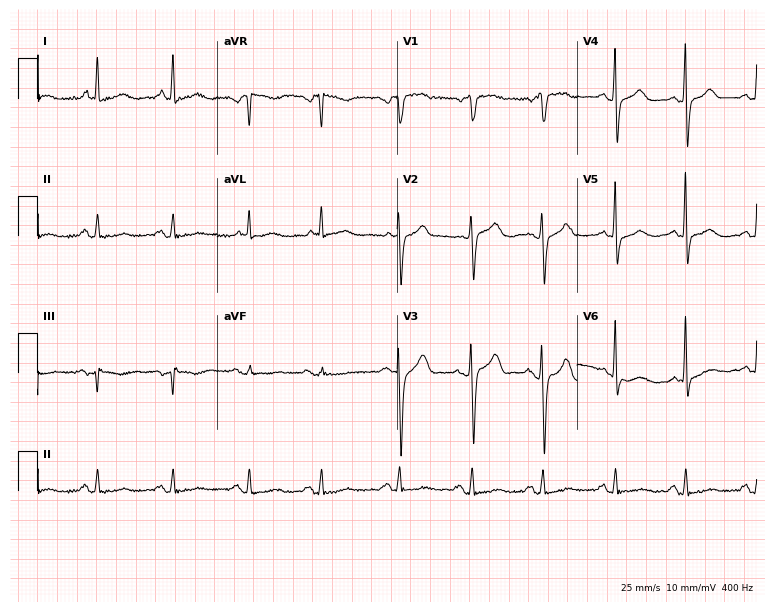
12-lead ECG from a 78-year-old female (7.3-second recording at 400 Hz). No first-degree AV block, right bundle branch block, left bundle branch block, sinus bradycardia, atrial fibrillation or sinus tachycardia recorded for this tracing.